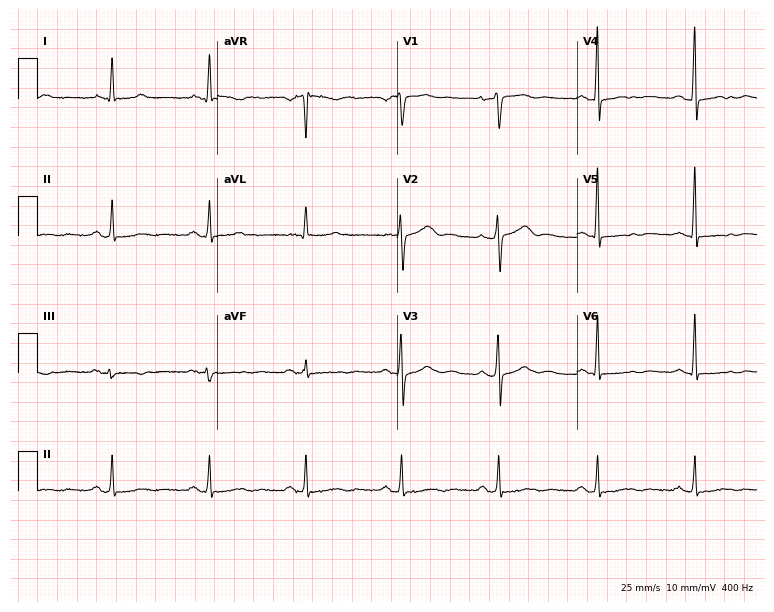
Resting 12-lead electrocardiogram (7.3-second recording at 400 Hz). Patient: a 61-year-old female. None of these six findings is recorded: first-degree AV block, right bundle branch block, left bundle branch block, sinus bradycardia, atrial fibrillation, sinus tachycardia.